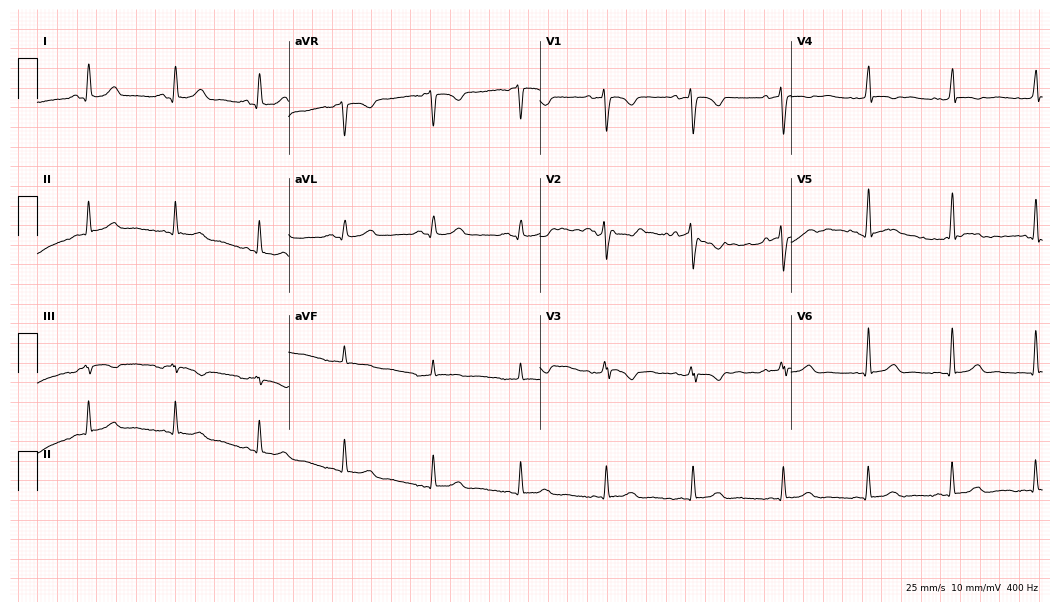
ECG — a 47-year-old female. Labelled as a normal ECG.